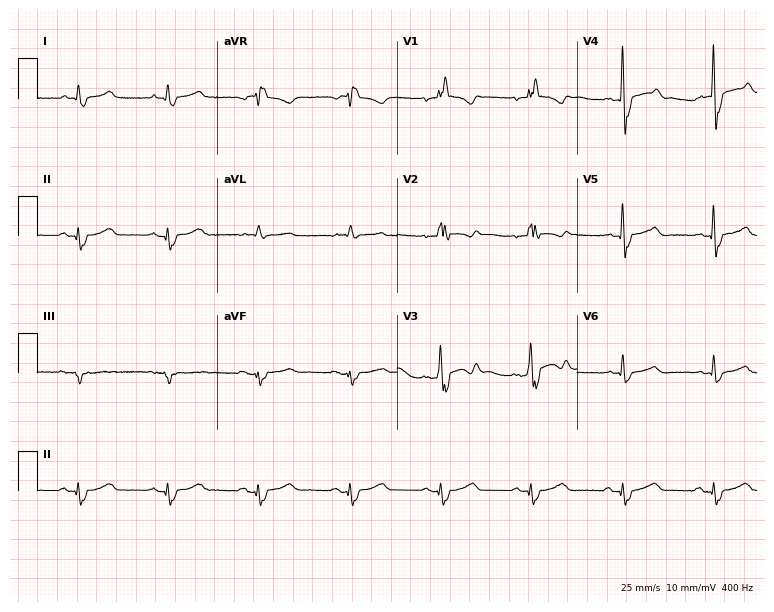
Resting 12-lead electrocardiogram. Patient: a man, 51 years old. The tracing shows right bundle branch block (RBBB).